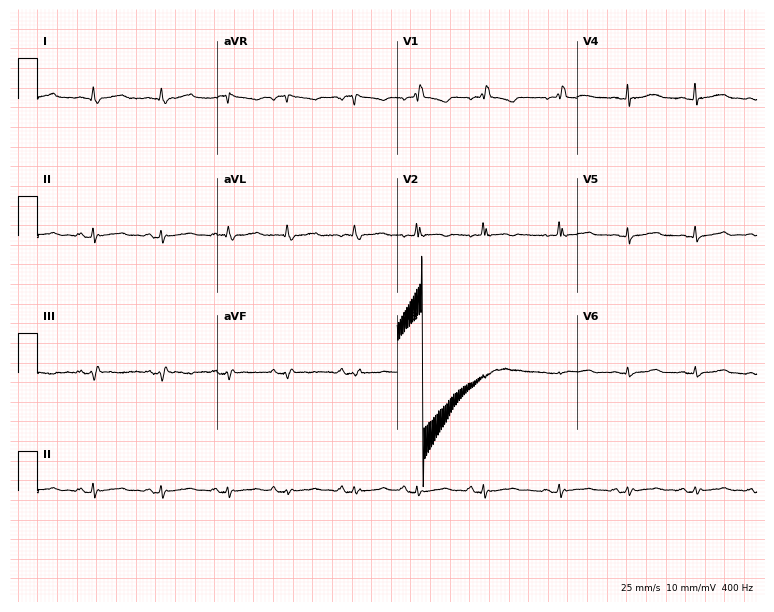
12-lead ECG from an 80-year-old female (7.3-second recording at 400 Hz). No first-degree AV block, right bundle branch block (RBBB), left bundle branch block (LBBB), sinus bradycardia, atrial fibrillation (AF) or sinus tachycardia recorded for this tracing.